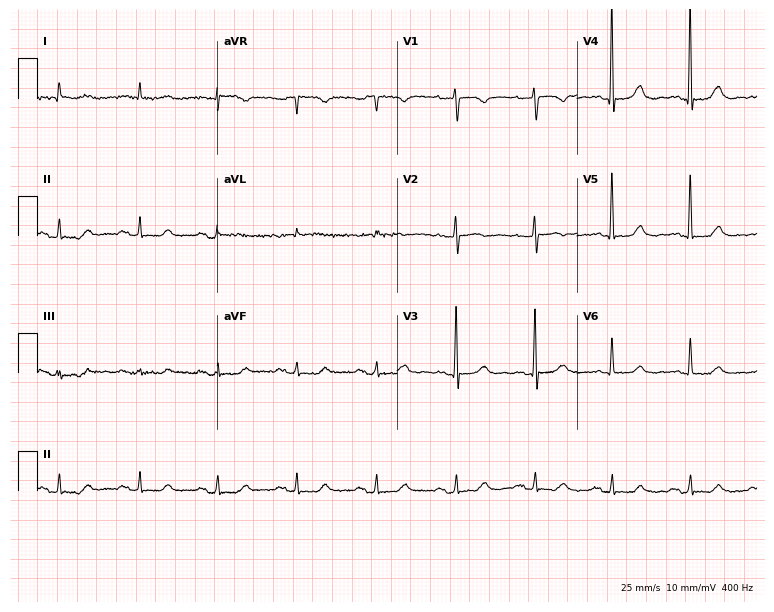
Resting 12-lead electrocardiogram (7.3-second recording at 400 Hz). Patient: a woman, 84 years old. None of these six findings is recorded: first-degree AV block, right bundle branch block (RBBB), left bundle branch block (LBBB), sinus bradycardia, atrial fibrillation (AF), sinus tachycardia. Only these six findings were labelled.